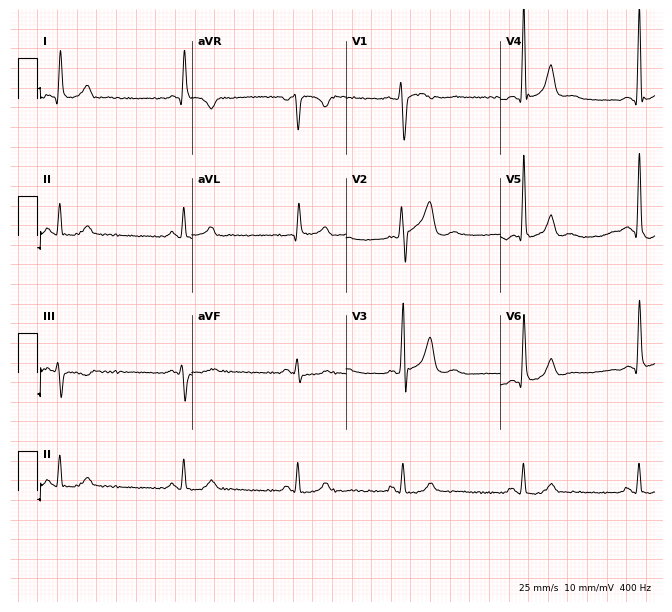
Electrocardiogram (6.3-second recording at 400 Hz), a 43-year-old man. Of the six screened findings (first-degree AV block, right bundle branch block, left bundle branch block, sinus bradycardia, atrial fibrillation, sinus tachycardia), none is recorded. Other findings, if any, are not listed.